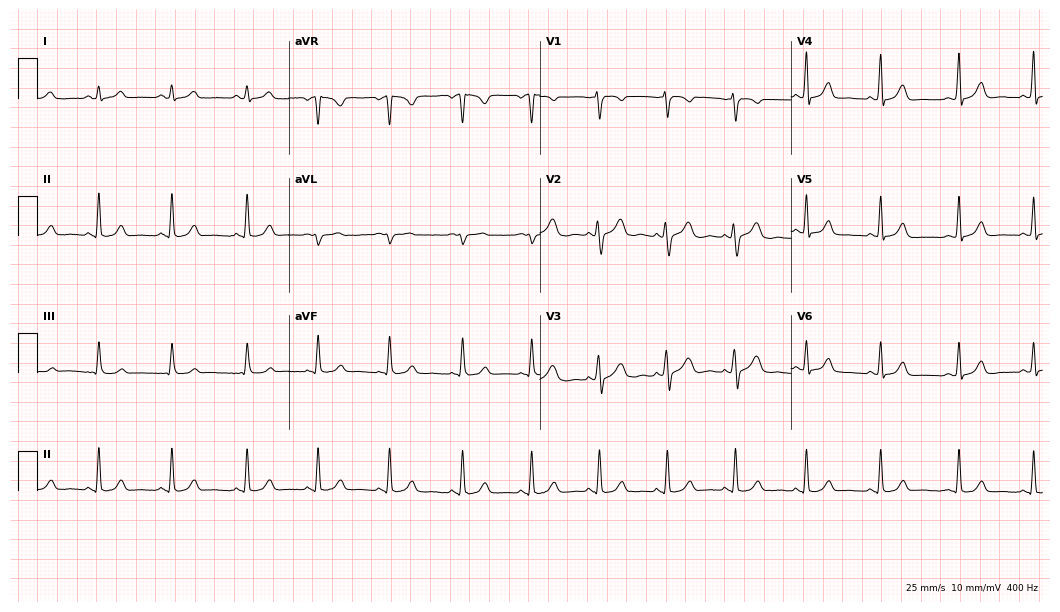
ECG — a 27-year-old woman. Labelled as a normal ECG.